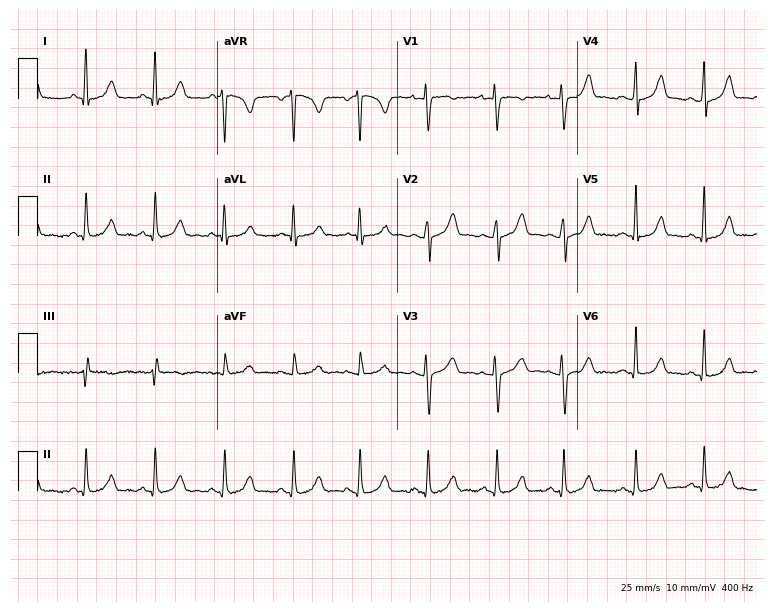
Resting 12-lead electrocardiogram (7.3-second recording at 400 Hz). Patient: a female, 26 years old. Read as a normal ECG.